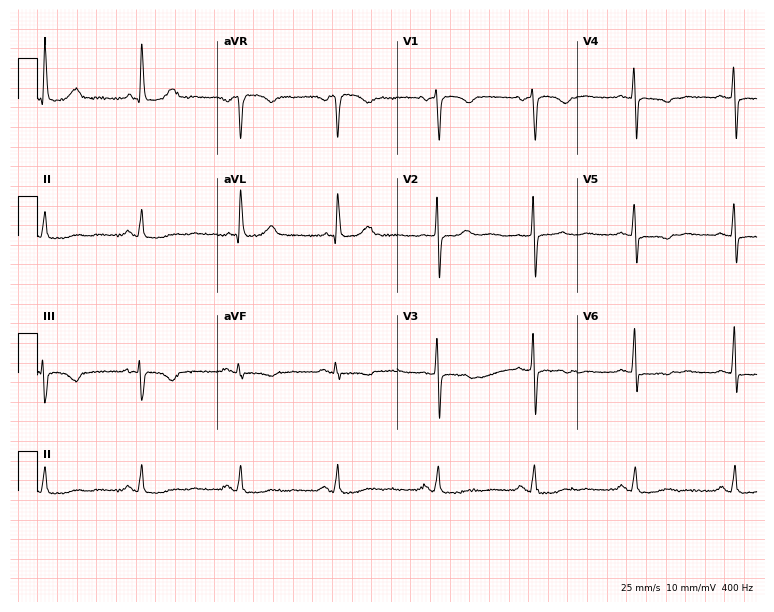
Standard 12-lead ECG recorded from a 73-year-old female. None of these six findings is recorded: first-degree AV block, right bundle branch block, left bundle branch block, sinus bradycardia, atrial fibrillation, sinus tachycardia.